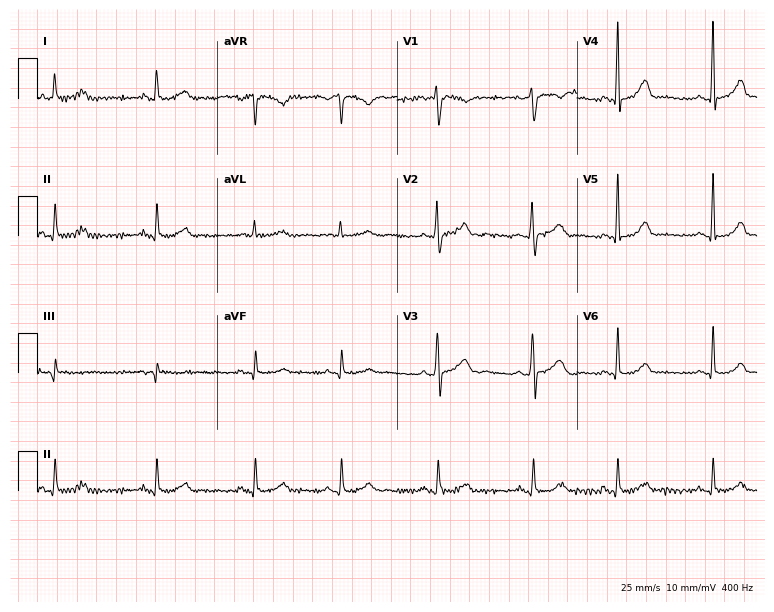
12-lead ECG (7.3-second recording at 400 Hz) from a woman, 29 years old. Screened for six findings — first-degree AV block, right bundle branch block, left bundle branch block, sinus bradycardia, atrial fibrillation, sinus tachycardia — none is recorded.